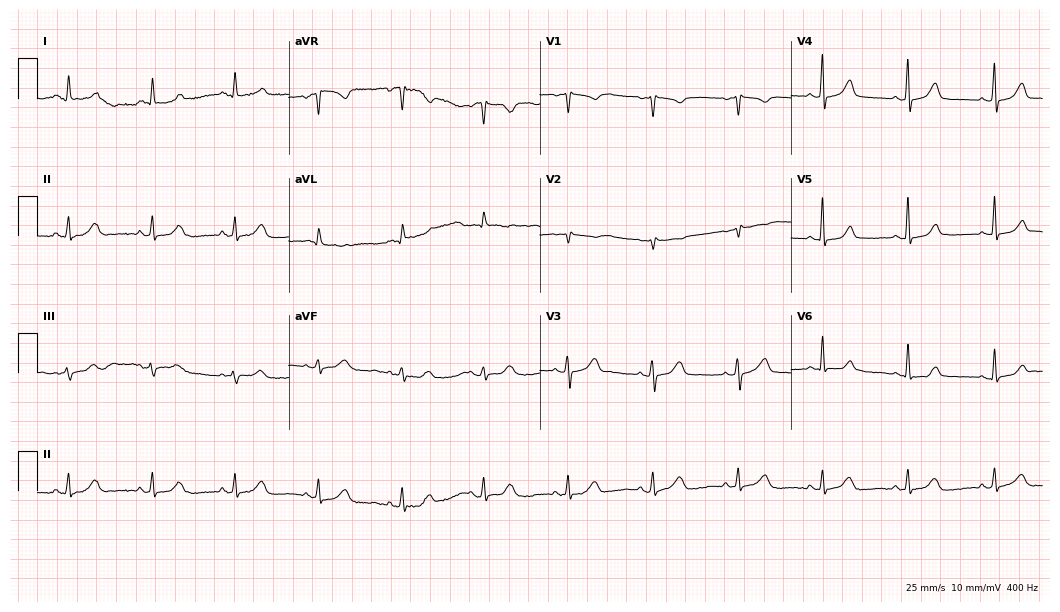
Standard 12-lead ECG recorded from a female, 58 years old (10.2-second recording at 400 Hz). Read as a normal ECG.